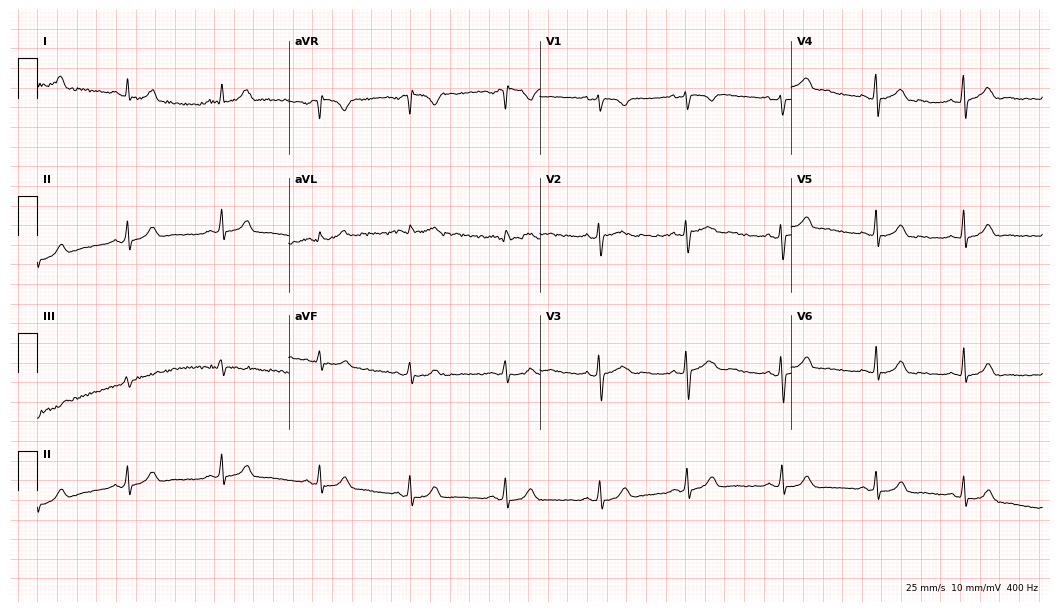
ECG (10.2-second recording at 400 Hz) — a 26-year-old woman. Labelled as a normal ECG.